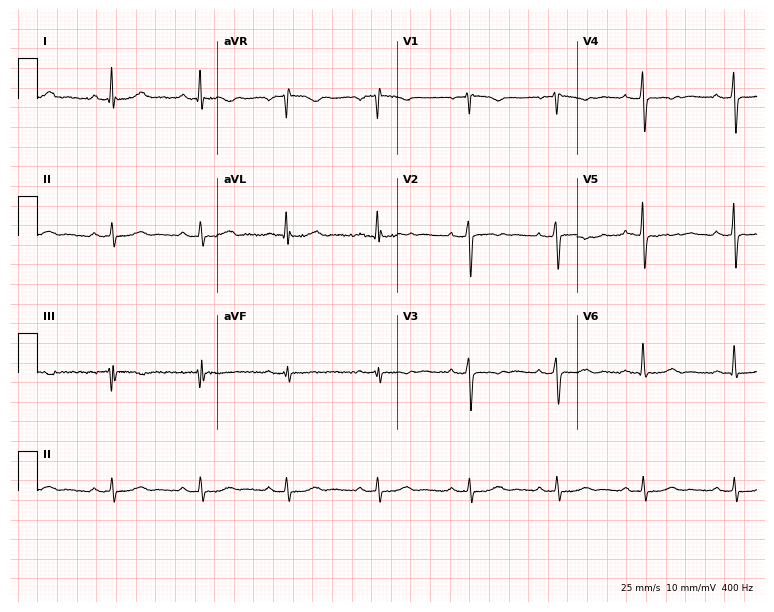
12-lead ECG from a female, 51 years old (7.3-second recording at 400 Hz). No first-degree AV block, right bundle branch block (RBBB), left bundle branch block (LBBB), sinus bradycardia, atrial fibrillation (AF) or sinus tachycardia recorded for this tracing.